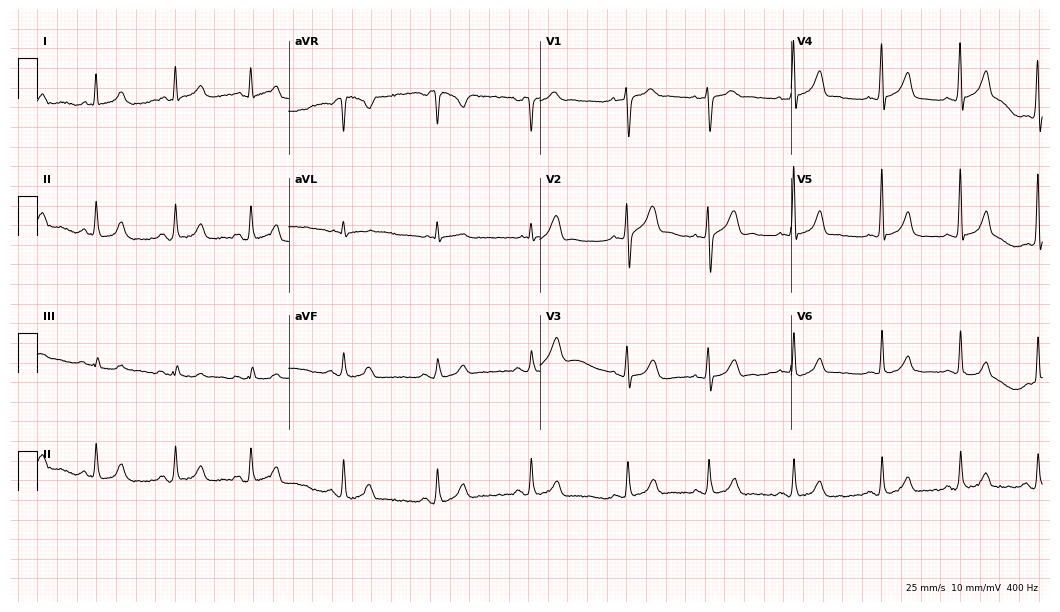
12-lead ECG from a 27-year-old male patient (10.2-second recording at 400 Hz). Recorded interpretation: within normal limits.